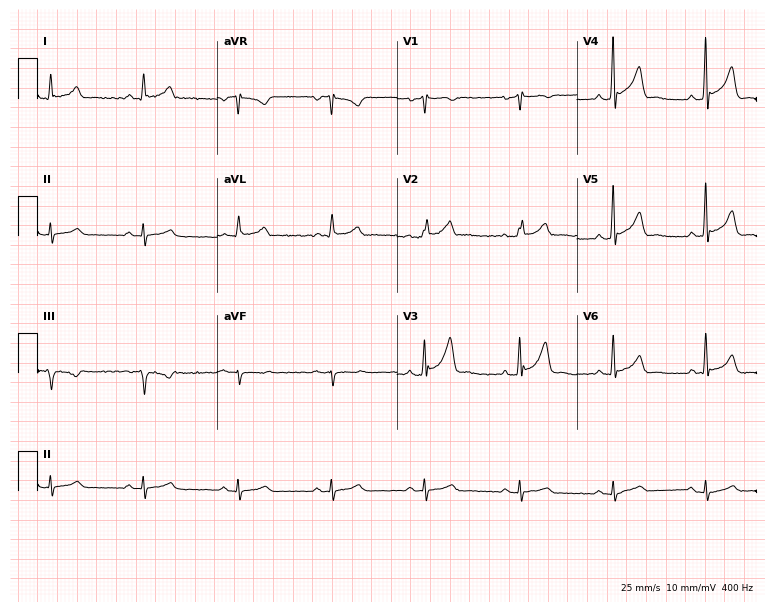
12-lead ECG from a 65-year-old male. Screened for six findings — first-degree AV block, right bundle branch block, left bundle branch block, sinus bradycardia, atrial fibrillation, sinus tachycardia — none is recorded. Only these six findings were labelled.